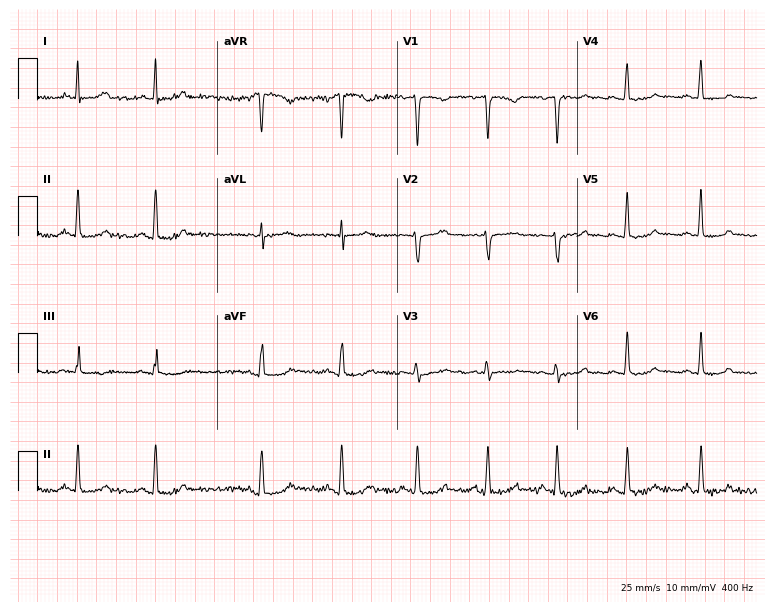
12-lead ECG (7.3-second recording at 400 Hz) from a 29-year-old female. Screened for six findings — first-degree AV block, right bundle branch block, left bundle branch block, sinus bradycardia, atrial fibrillation, sinus tachycardia — none is recorded. Other findings, if any, are not listed.